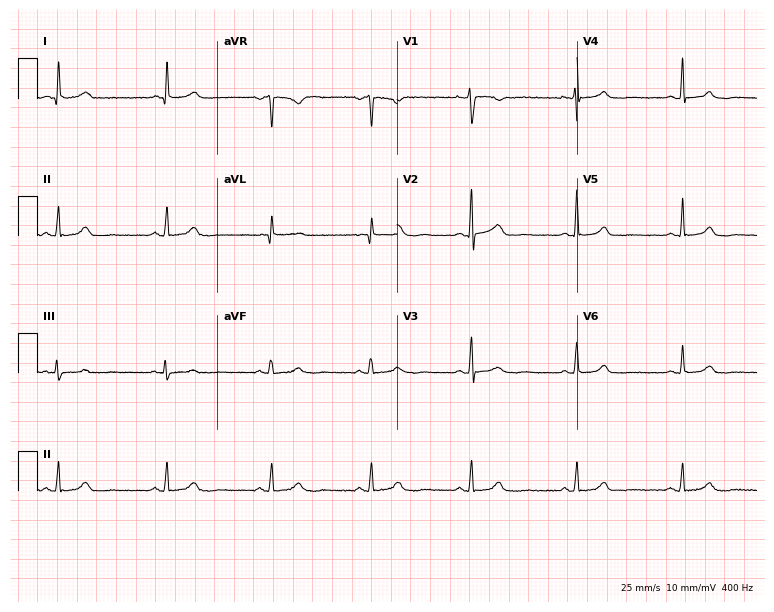
Resting 12-lead electrocardiogram. Patient: a 53-year-old female. Read as a normal ECG.